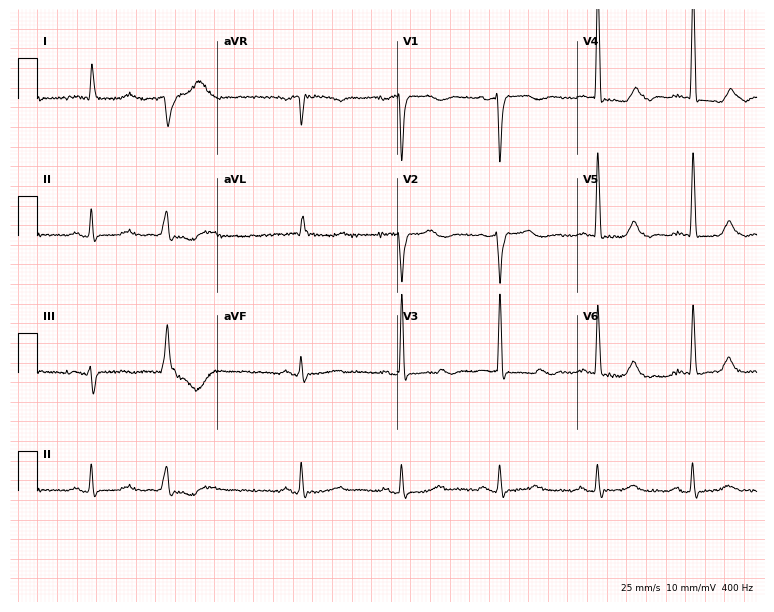
12-lead ECG (7.3-second recording at 400 Hz) from an 84-year-old woman. Labelled as a normal ECG.